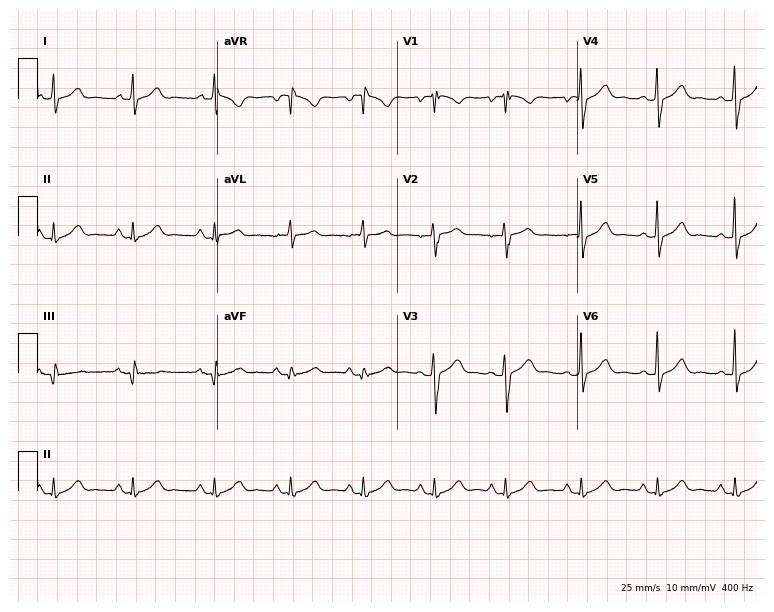
ECG — a 31-year-old man. Labelled as a normal ECG.